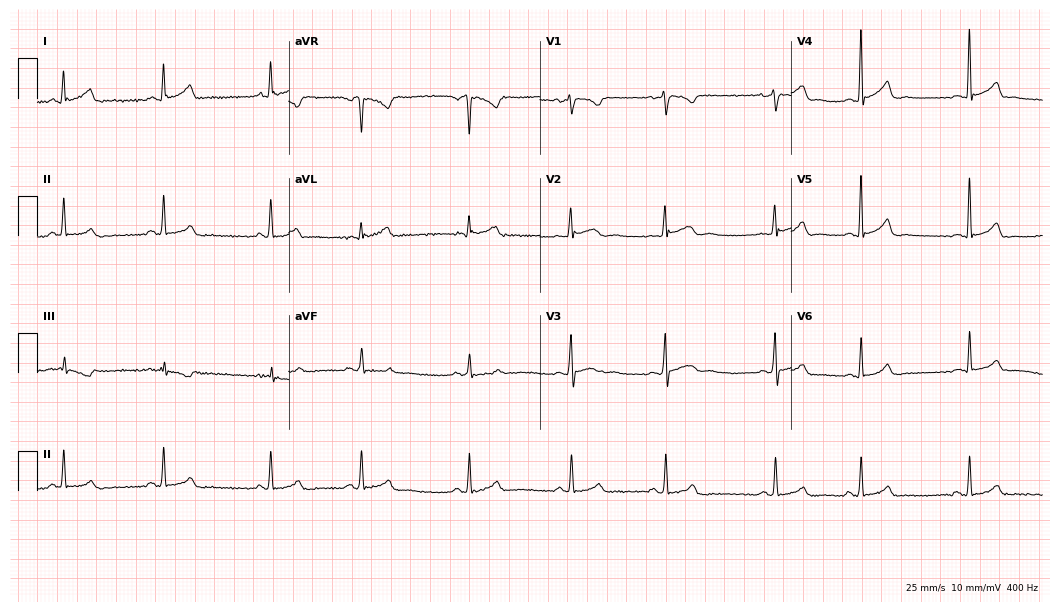
Resting 12-lead electrocardiogram (10.2-second recording at 400 Hz). Patient: a female, 27 years old. None of these six findings is recorded: first-degree AV block, right bundle branch block, left bundle branch block, sinus bradycardia, atrial fibrillation, sinus tachycardia.